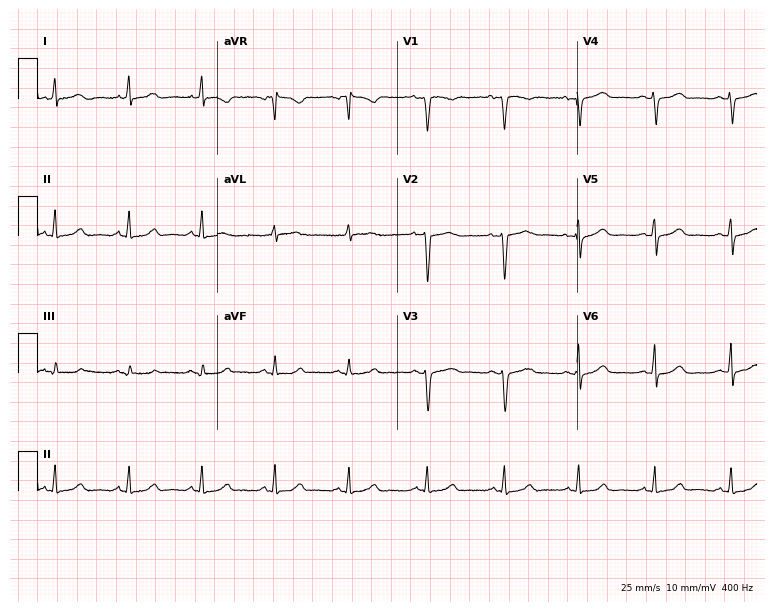
Electrocardiogram (7.3-second recording at 400 Hz), a 31-year-old woman. Of the six screened findings (first-degree AV block, right bundle branch block, left bundle branch block, sinus bradycardia, atrial fibrillation, sinus tachycardia), none is recorded.